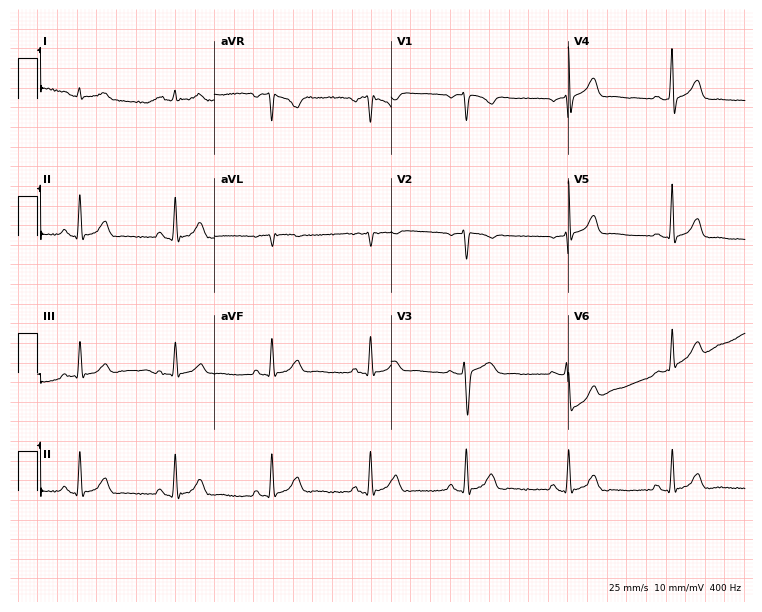
12-lead ECG from a female, 46 years old. No first-degree AV block, right bundle branch block, left bundle branch block, sinus bradycardia, atrial fibrillation or sinus tachycardia recorded for this tracing.